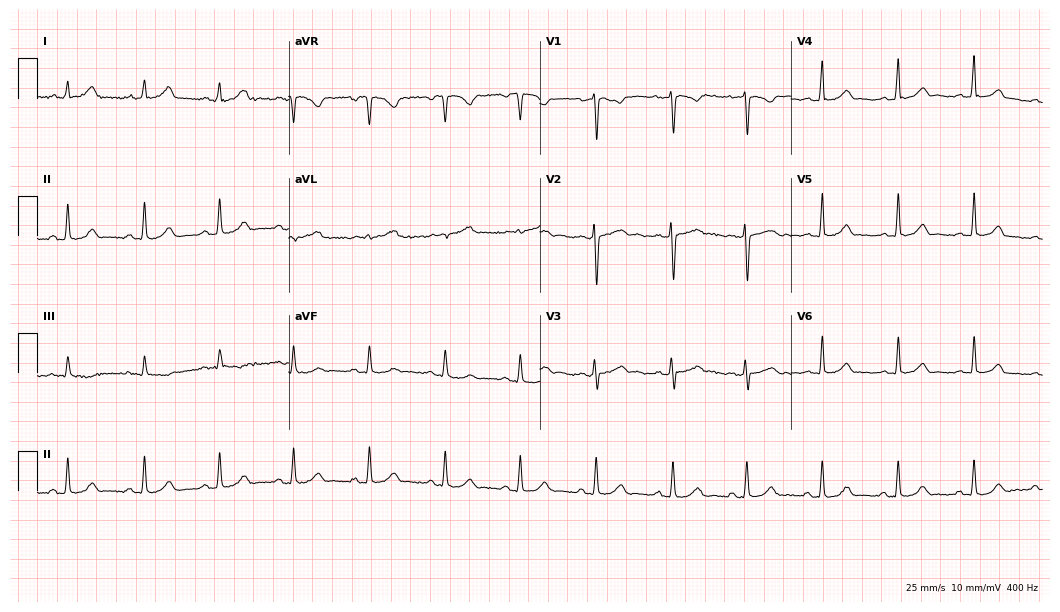
12-lead ECG (10.2-second recording at 400 Hz) from a woman, 28 years old. Screened for six findings — first-degree AV block, right bundle branch block, left bundle branch block, sinus bradycardia, atrial fibrillation, sinus tachycardia — none is recorded.